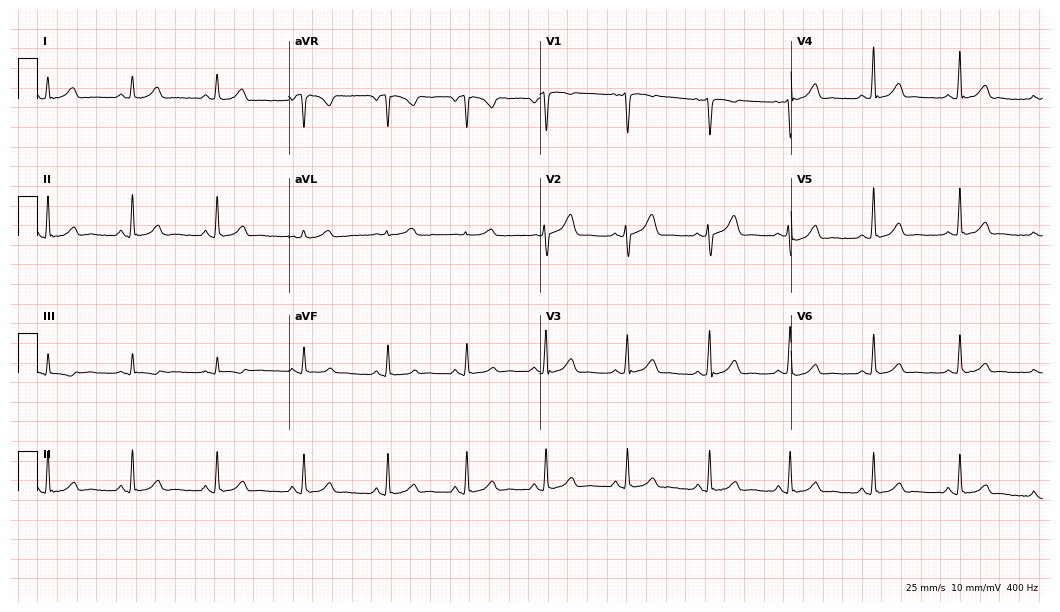
Electrocardiogram, a 44-year-old female. Overall reading on record: normal ECG.